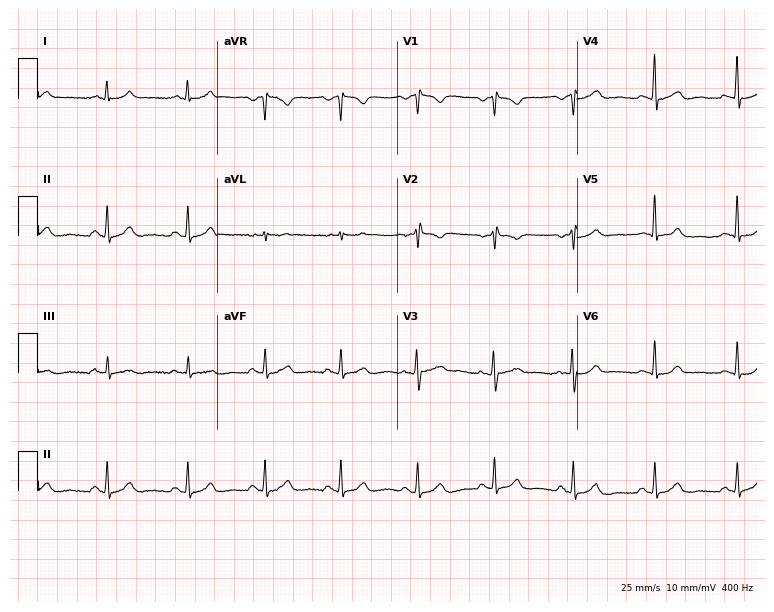
Electrocardiogram (7.3-second recording at 400 Hz), a woman, 27 years old. Of the six screened findings (first-degree AV block, right bundle branch block (RBBB), left bundle branch block (LBBB), sinus bradycardia, atrial fibrillation (AF), sinus tachycardia), none is recorded. Only these six findings were labelled.